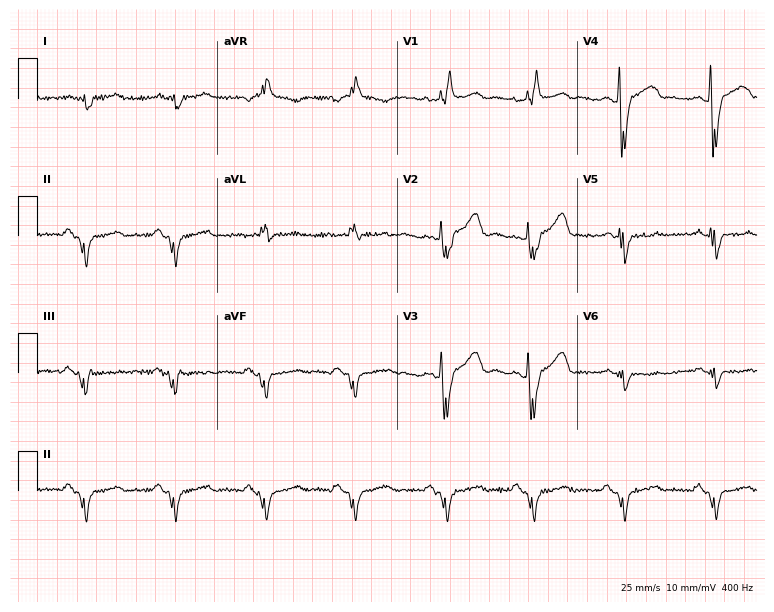
12-lead ECG from a male, 65 years old (7.3-second recording at 400 Hz). Shows right bundle branch block (RBBB).